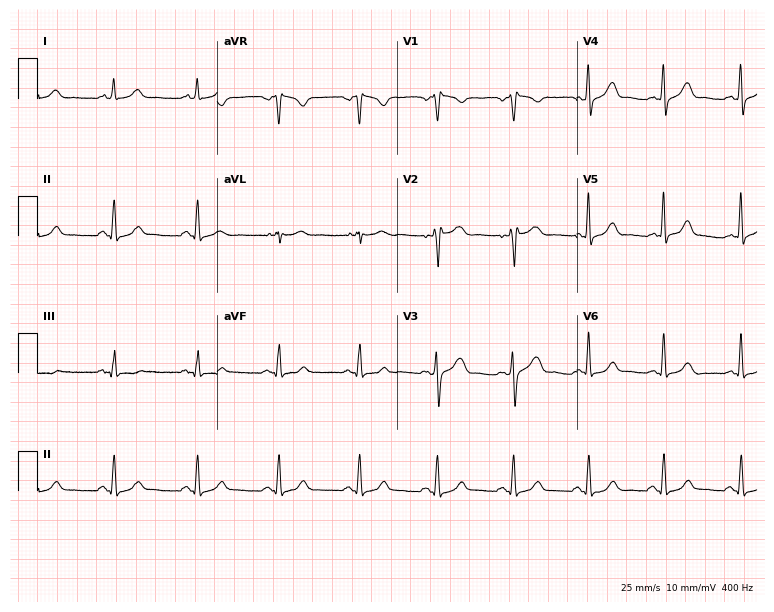
Electrocardiogram, a 49-year-old female patient. Overall reading on record: normal ECG.